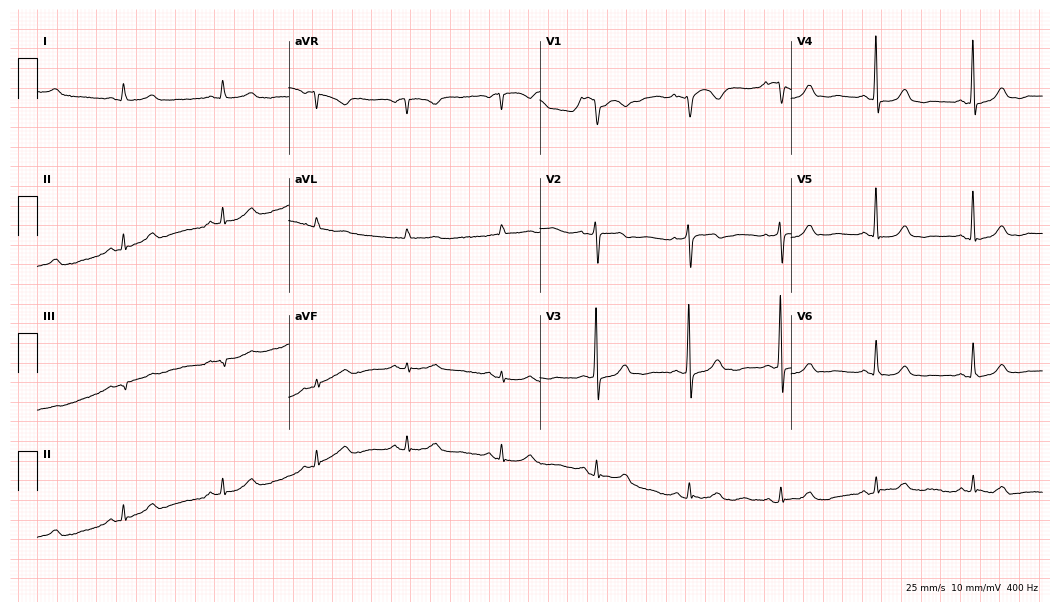
12-lead ECG from a 54-year-old woman (10.2-second recording at 400 Hz). Recorded interpretation: within normal limits.